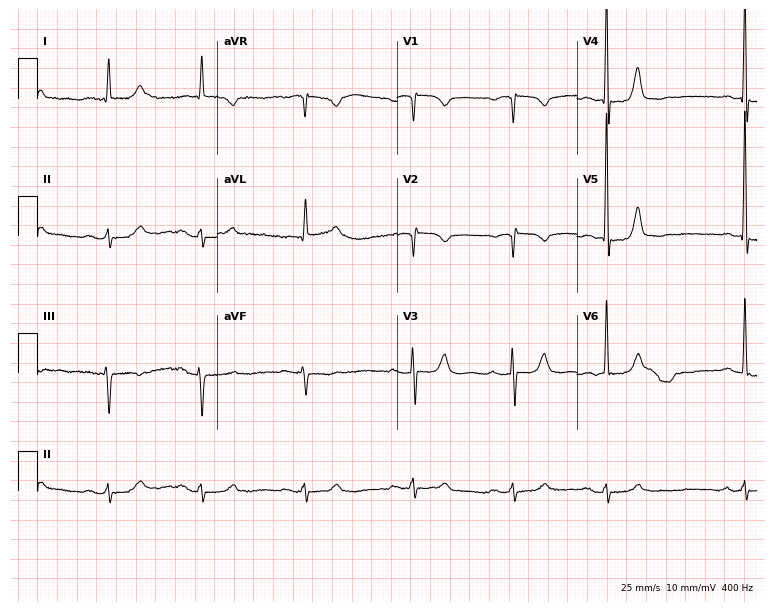
12-lead ECG from a female patient, 83 years old. Screened for six findings — first-degree AV block, right bundle branch block (RBBB), left bundle branch block (LBBB), sinus bradycardia, atrial fibrillation (AF), sinus tachycardia — none is recorded. Findings outside these six are not listed.